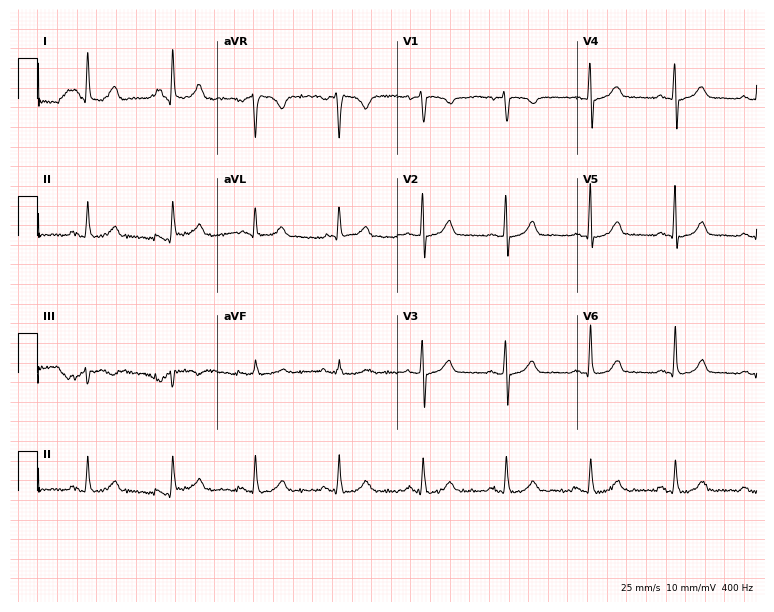
12-lead ECG from a 60-year-old female. Labelled as a normal ECG.